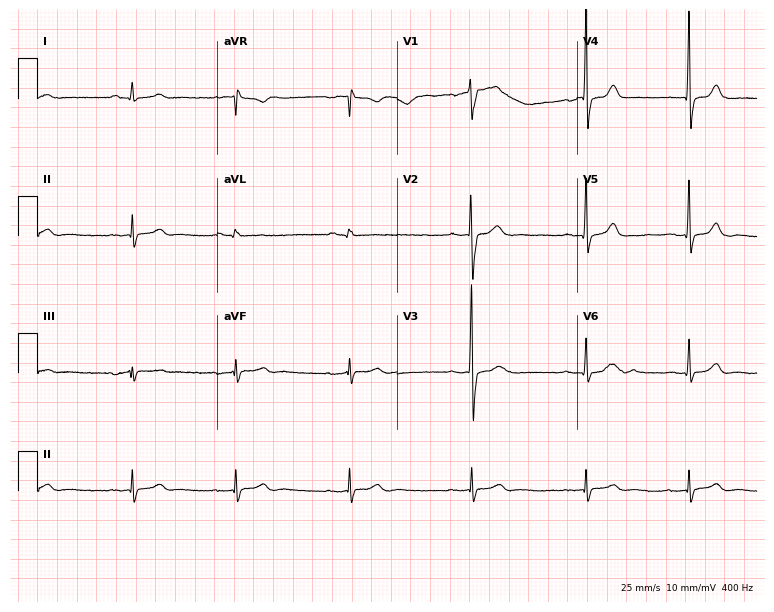
Standard 12-lead ECG recorded from a man, 28 years old (7.3-second recording at 400 Hz). None of these six findings is recorded: first-degree AV block, right bundle branch block, left bundle branch block, sinus bradycardia, atrial fibrillation, sinus tachycardia. Only these six findings were labelled.